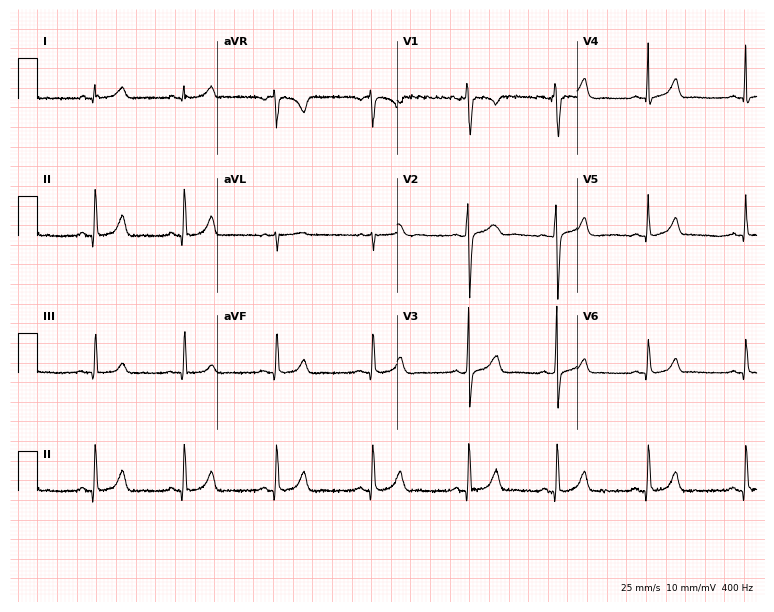
Electrocardiogram, a female patient, 33 years old. Overall reading on record: normal ECG.